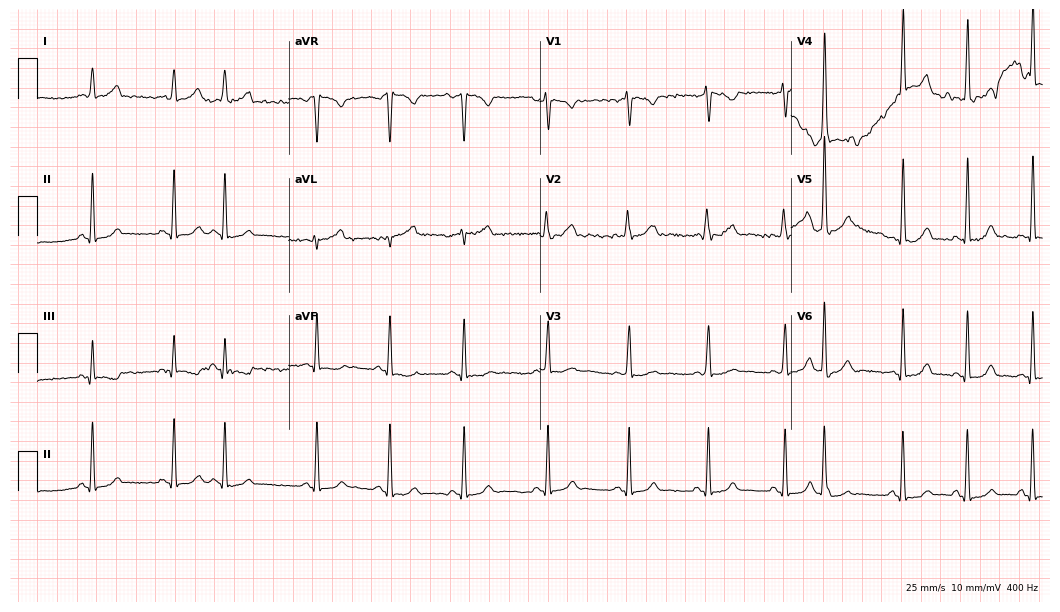
Resting 12-lead electrocardiogram. Patient: a woman, 18 years old. Read as a normal ECG.